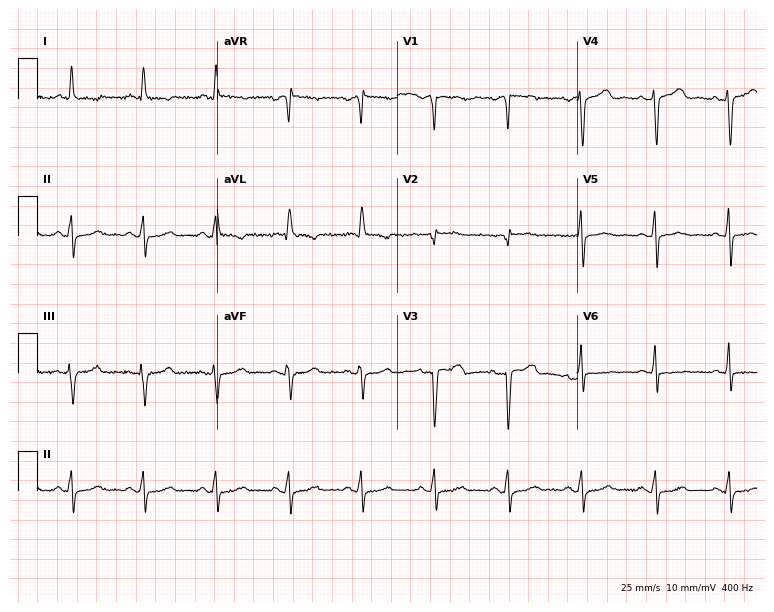
12-lead ECG from a female patient, 68 years old. Screened for six findings — first-degree AV block, right bundle branch block, left bundle branch block, sinus bradycardia, atrial fibrillation, sinus tachycardia — none is recorded.